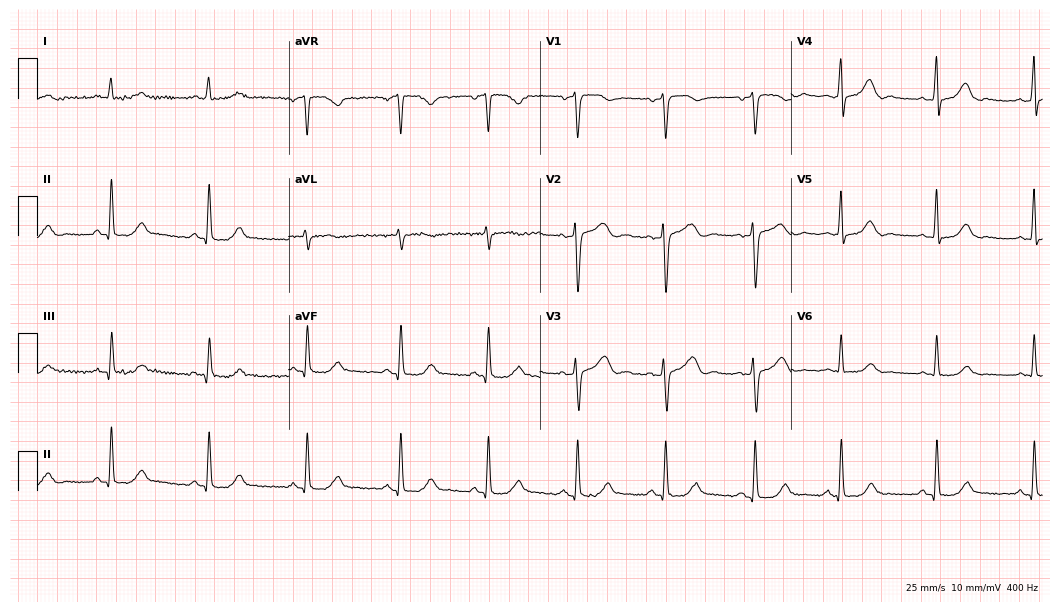
12-lead ECG from a 49-year-old female patient (10.2-second recording at 400 Hz). No first-degree AV block, right bundle branch block, left bundle branch block, sinus bradycardia, atrial fibrillation or sinus tachycardia recorded for this tracing.